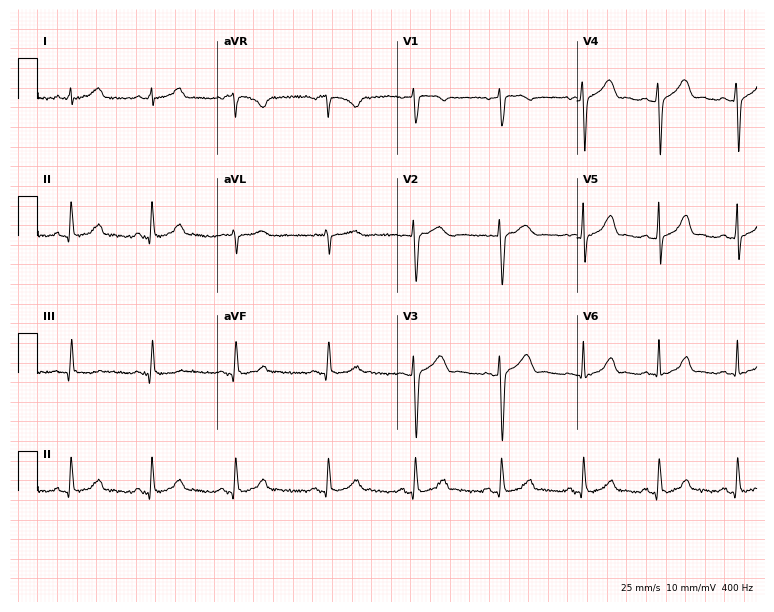
12-lead ECG from a female, 29 years old. No first-degree AV block, right bundle branch block (RBBB), left bundle branch block (LBBB), sinus bradycardia, atrial fibrillation (AF) or sinus tachycardia recorded for this tracing.